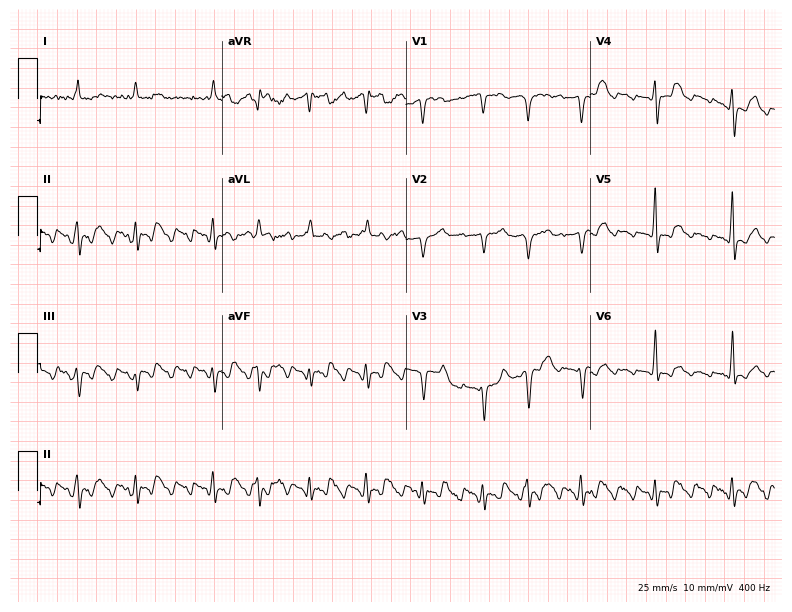
Standard 12-lead ECG recorded from a 76-year-old male patient (7.5-second recording at 400 Hz). None of these six findings is recorded: first-degree AV block, right bundle branch block (RBBB), left bundle branch block (LBBB), sinus bradycardia, atrial fibrillation (AF), sinus tachycardia. Only these six findings were labelled.